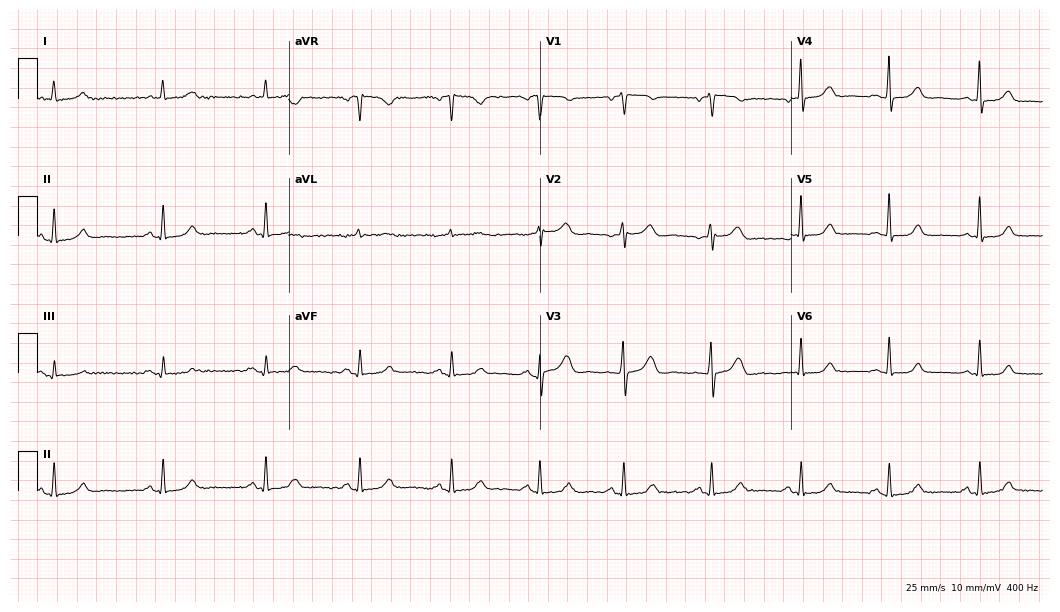
Resting 12-lead electrocardiogram. Patient: a female, 64 years old. Read as a normal ECG.